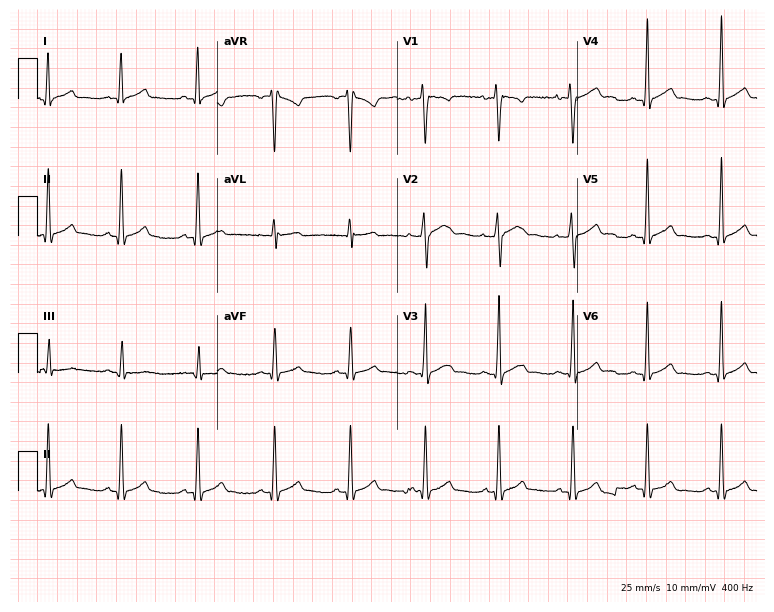
Standard 12-lead ECG recorded from a 22-year-old man. Read as a normal ECG.